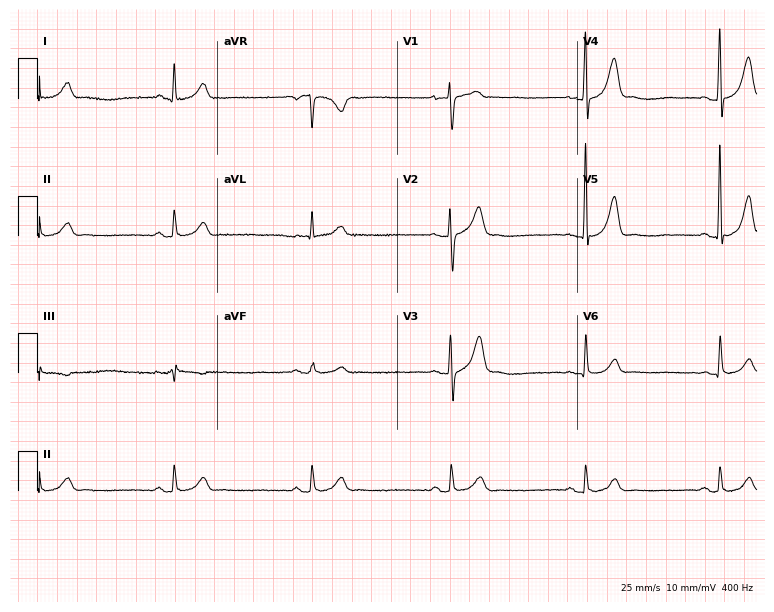
12-lead ECG from a 54-year-old male patient (7.3-second recording at 400 Hz). No first-degree AV block, right bundle branch block (RBBB), left bundle branch block (LBBB), sinus bradycardia, atrial fibrillation (AF) or sinus tachycardia recorded for this tracing.